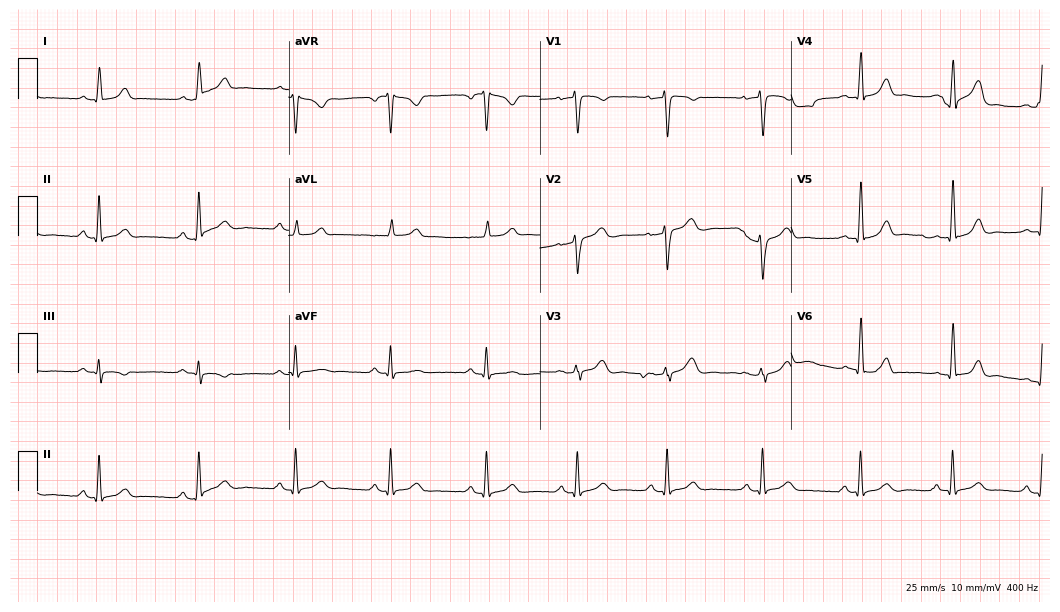
ECG — a 37-year-old female patient. Screened for six findings — first-degree AV block, right bundle branch block, left bundle branch block, sinus bradycardia, atrial fibrillation, sinus tachycardia — none is recorded.